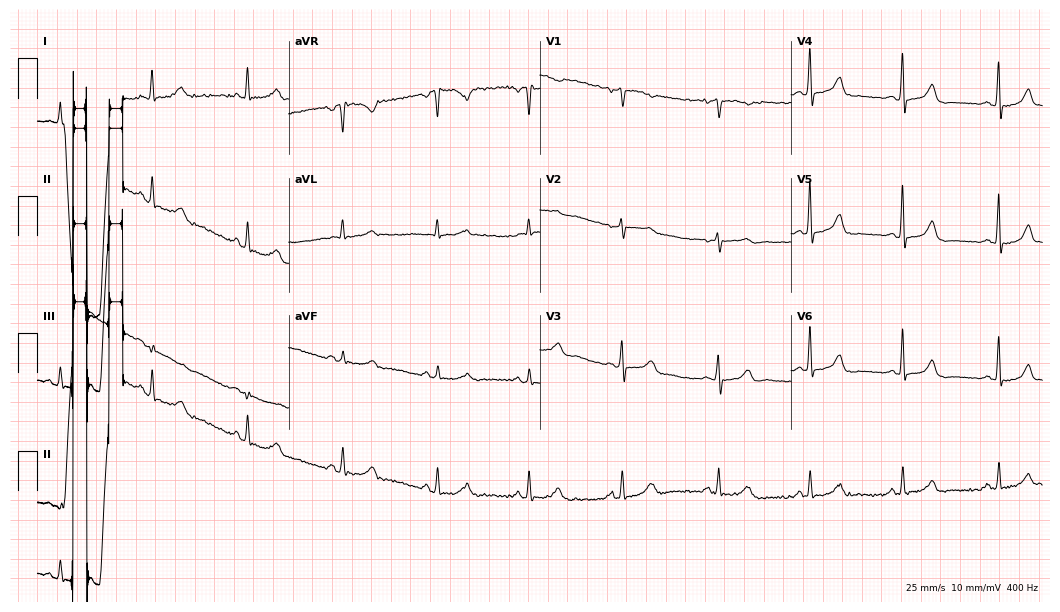
Resting 12-lead electrocardiogram (10.2-second recording at 400 Hz). Patient: a woman, 58 years old. None of these six findings is recorded: first-degree AV block, right bundle branch block, left bundle branch block, sinus bradycardia, atrial fibrillation, sinus tachycardia.